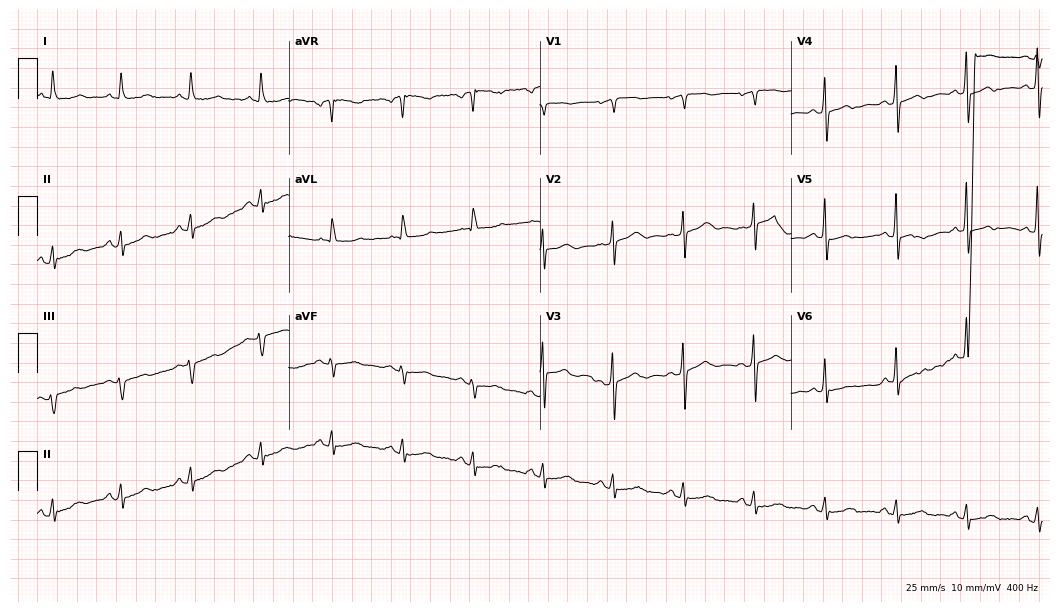
Resting 12-lead electrocardiogram. Patient: a female, 69 years old. None of these six findings is recorded: first-degree AV block, right bundle branch block, left bundle branch block, sinus bradycardia, atrial fibrillation, sinus tachycardia. Only these six findings were labelled.